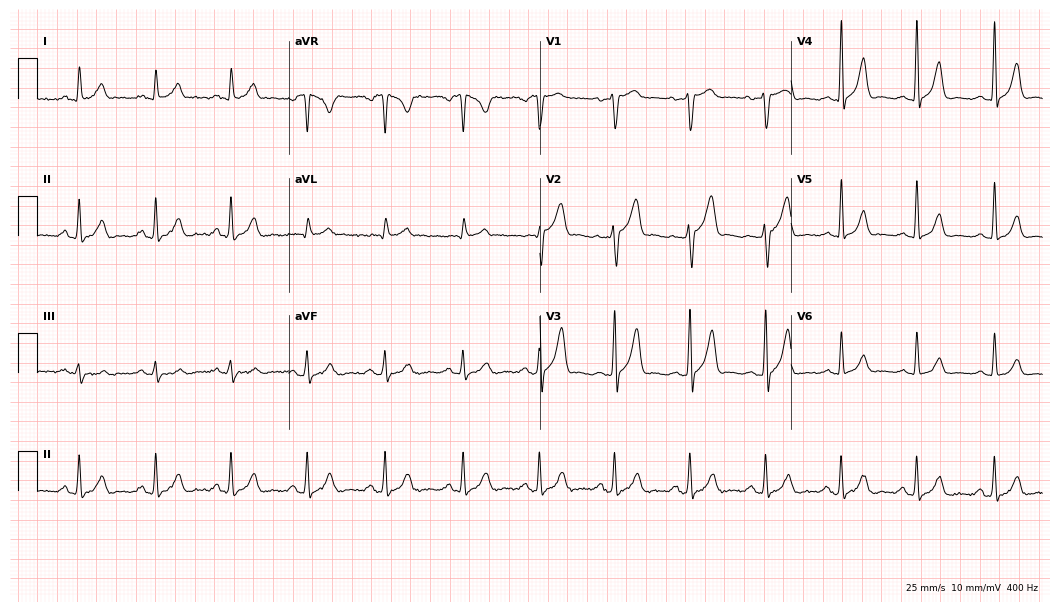
Resting 12-lead electrocardiogram (10.2-second recording at 400 Hz). Patient: a 48-year-old male. Read as a normal ECG.